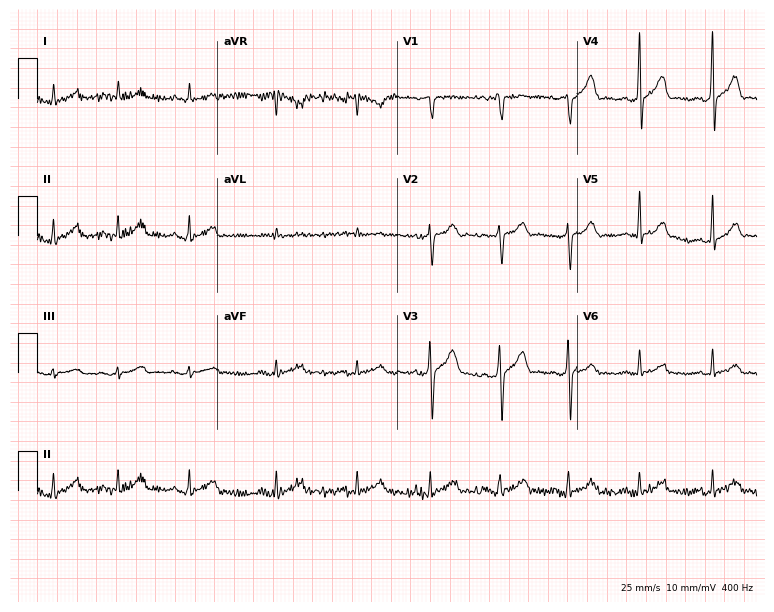
12-lead ECG from a 33-year-old male patient. Labelled as a normal ECG.